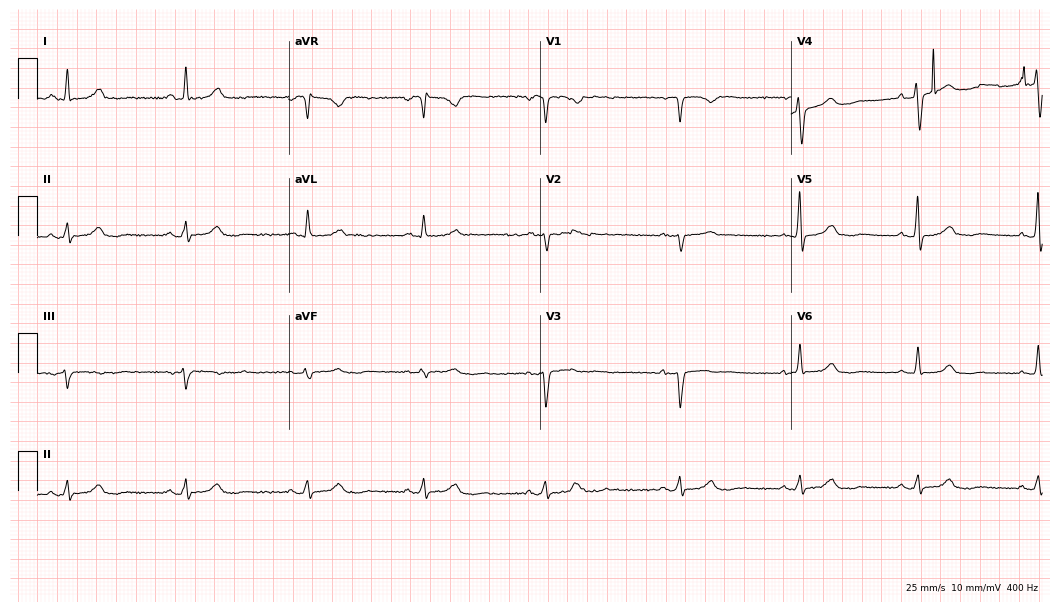
Standard 12-lead ECG recorded from a 54-year-old female patient (10.2-second recording at 400 Hz). None of these six findings is recorded: first-degree AV block, right bundle branch block, left bundle branch block, sinus bradycardia, atrial fibrillation, sinus tachycardia. Only these six findings were labelled.